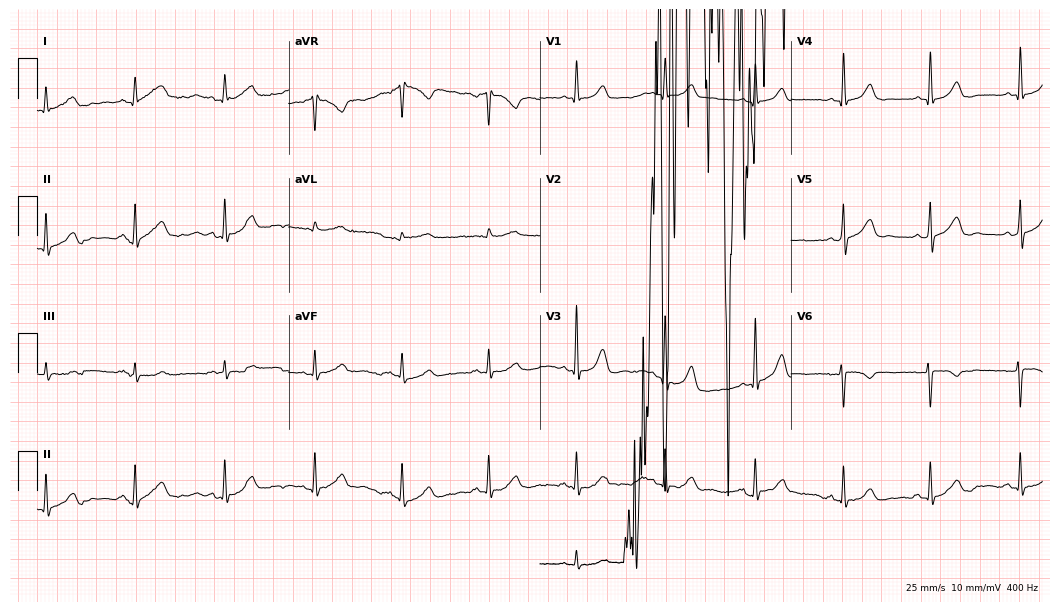
ECG (10.2-second recording at 400 Hz) — a woman, 42 years old. Screened for six findings — first-degree AV block, right bundle branch block, left bundle branch block, sinus bradycardia, atrial fibrillation, sinus tachycardia — none is recorded.